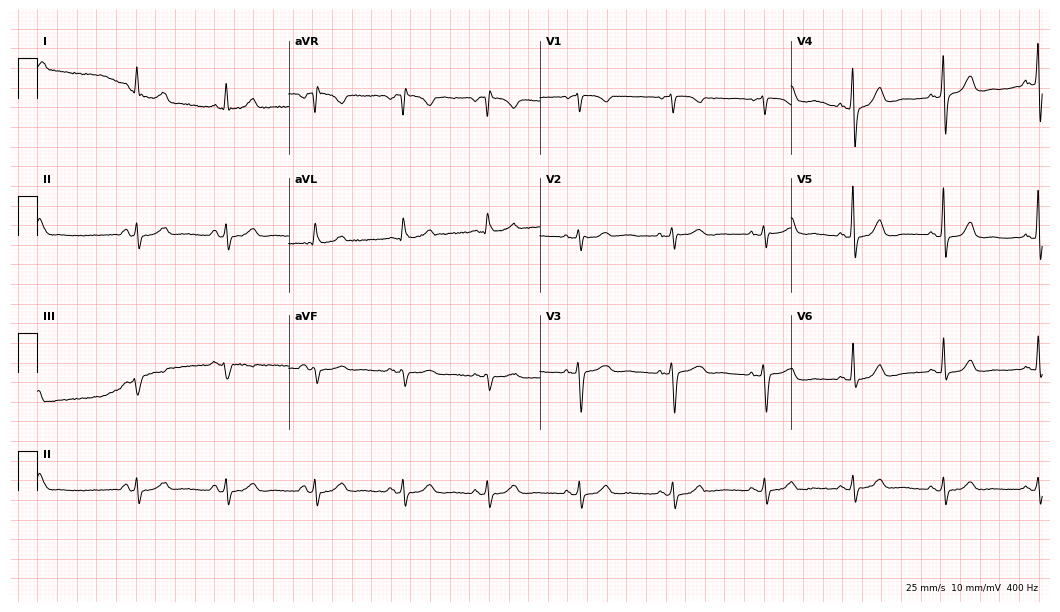
Resting 12-lead electrocardiogram. Patient: a 49-year-old woman. None of these six findings is recorded: first-degree AV block, right bundle branch block, left bundle branch block, sinus bradycardia, atrial fibrillation, sinus tachycardia. Only these six findings were labelled.